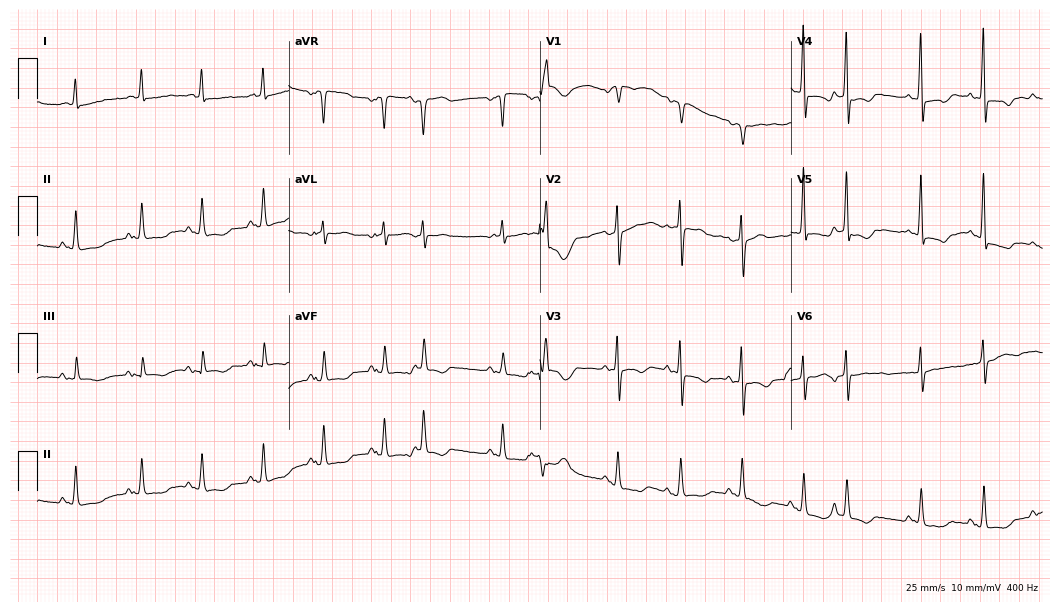
Standard 12-lead ECG recorded from a woman, 81 years old. None of these six findings is recorded: first-degree AV block, right bundle branch block (RBBB), left bundle branch block (LBBB), sinus bradycardia, atrial fibrillation (AF), sinus tachycardia.